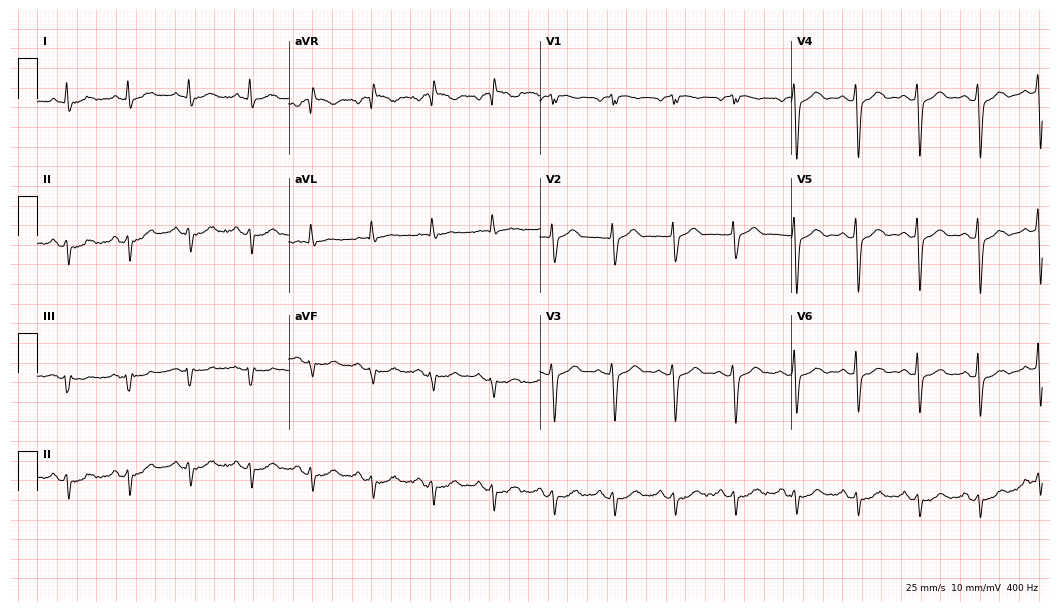
Resting 12-lead electrocardiogram. Patient: a male, 58 years old. None of these six findings is recorded: first-degree AV block, right bundle branch block, left bundle branch block, sinus bradycardia, atrial fibrillation, sinus tachycardia.